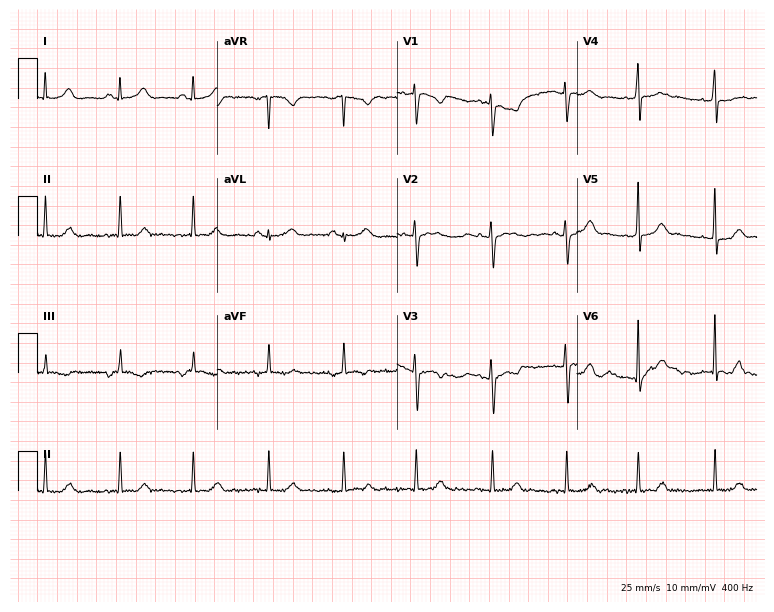
Electrocardiogram, a female patient, 21 years old. Overall reading on record: normal ECG.